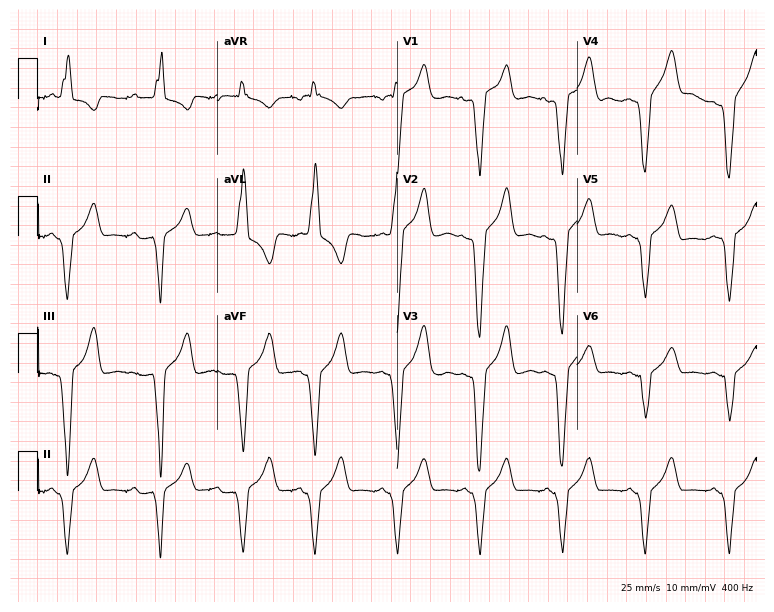
12-lead ECG from a 52-year-old female (7.3-second recording at 400 Hz). No first-degree AV block, right bundle branch block, left bundle branch block, sinus bradycardia, atrial fibrillation or sinus tachycardia recorded for this tracing.